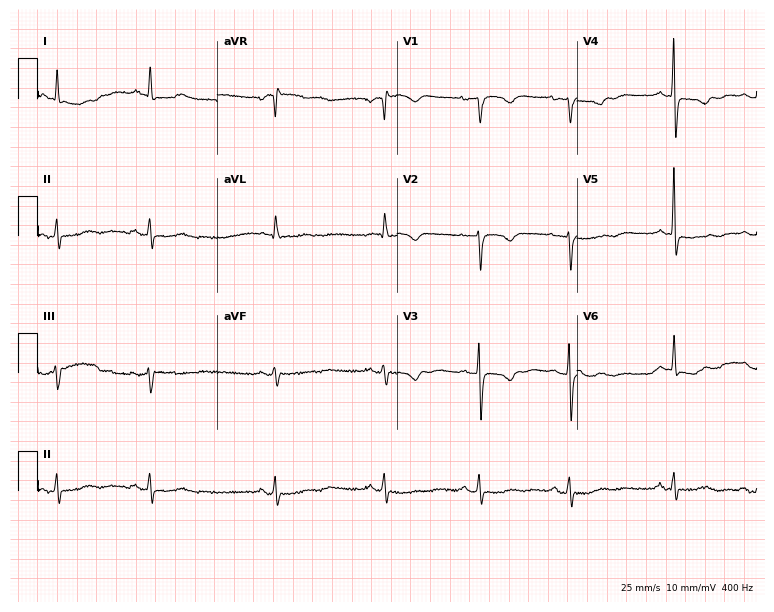
ECG — a female, 69 years old. Screened for six findings — first-degree AV block, right bundle branch block (RBBB), left bundle branch block (LBBB), sinus bradycardia, atrial fibrillation (AF), sinus tachycardia — none is recorded. Other findings, if any, are not listed.